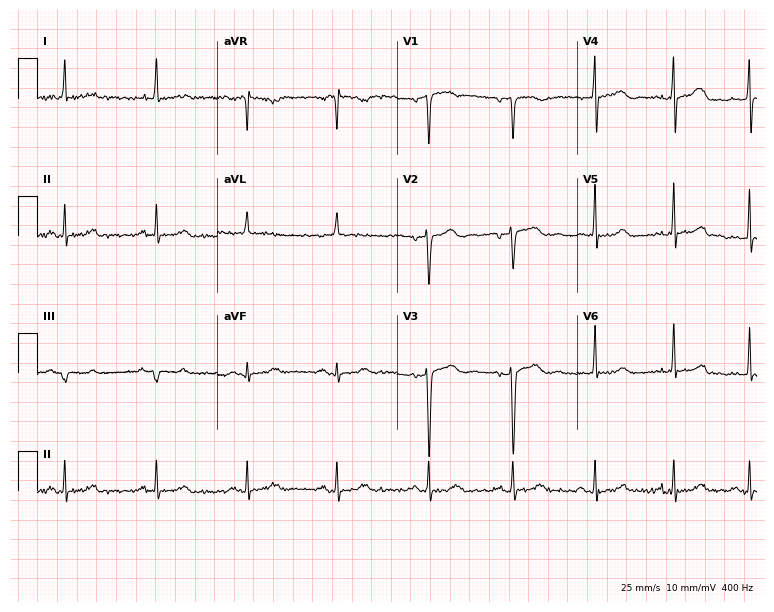
ECG (7.3-second recording at 400 Hz) — a female patient, 42 years old. Labelled as a normal ECG.